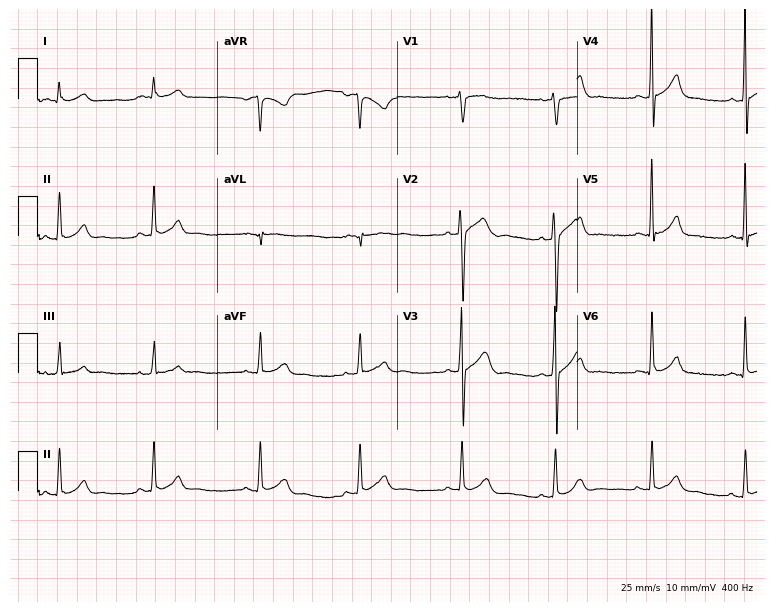
ECG (7.3-second recording at 400 Hz) — a male patient, 17 years old. Labelled as a normal ECG.